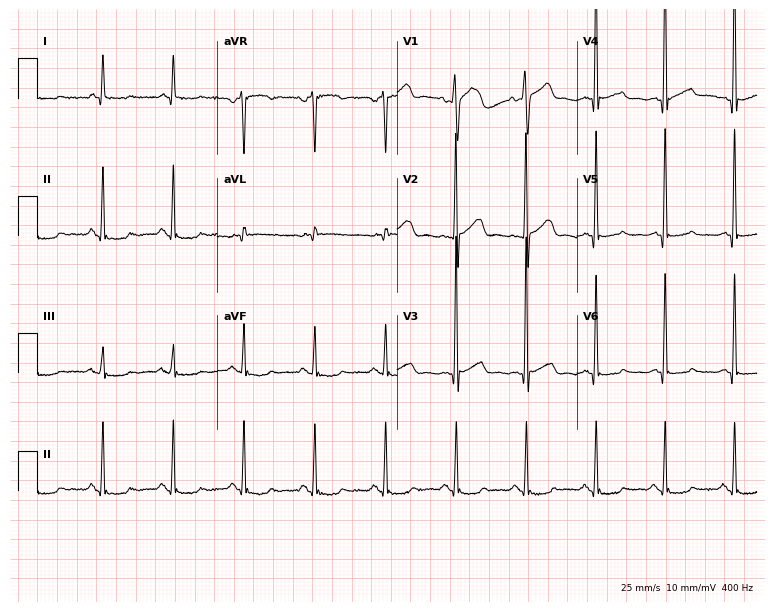
Electrocardiogram (7.3-second recording at 400 Hz), a 79-year-old male patient. Of the six screened findings (first-degree AV block, right bundle branch block, left bundle branch block, sinus bradycardia, atrial fibrillation, sinus tachycardia), none is recorded. Other findings, if any, are not listed.